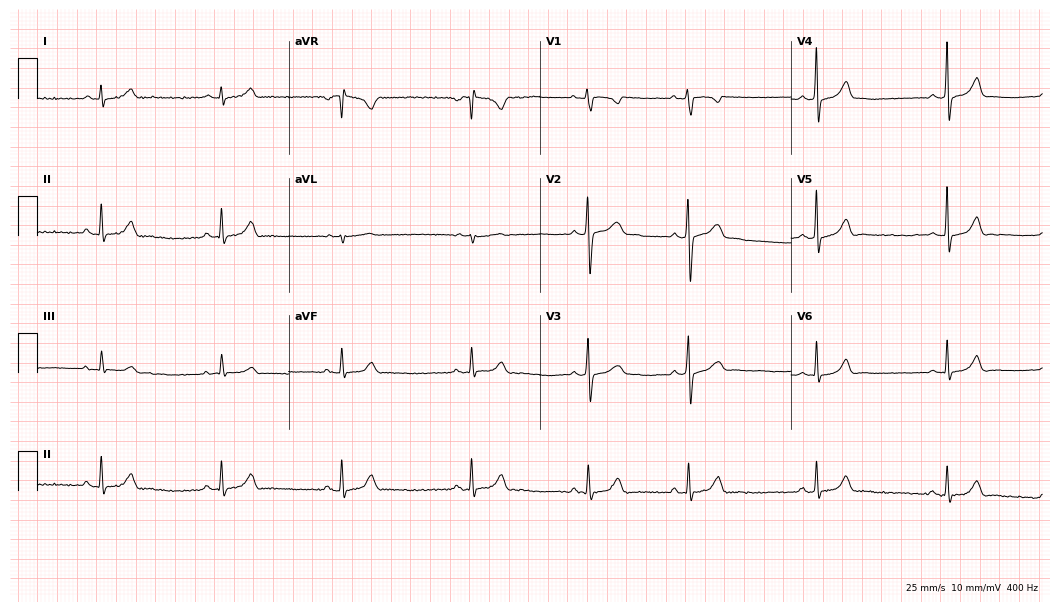
12-lead ECG from a female, 23 years old. Screened for six findings — first-degree AV block, right bundle branch block, left bundle branch block, sinus bradycardia, atrial fibrillation, sinus tachycardia — none is recorded.